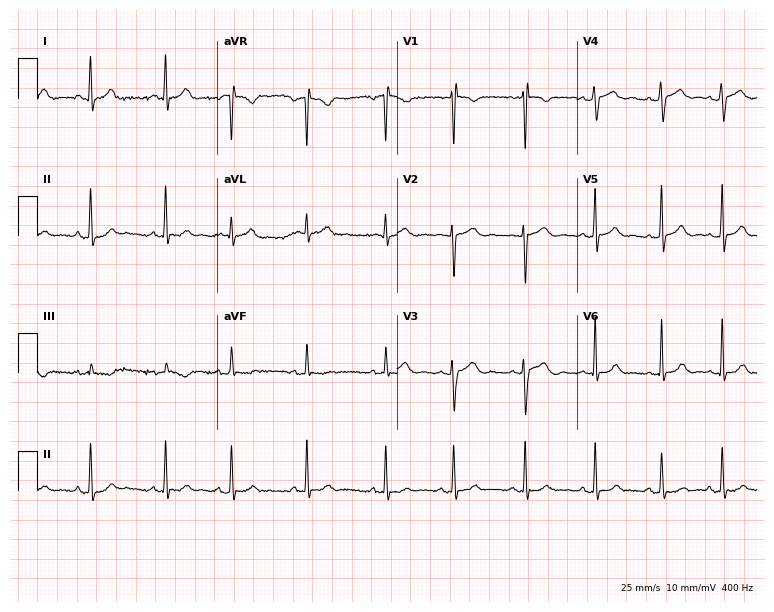
ECG — an 18-year-old woman. Labelled as a normal ECG.